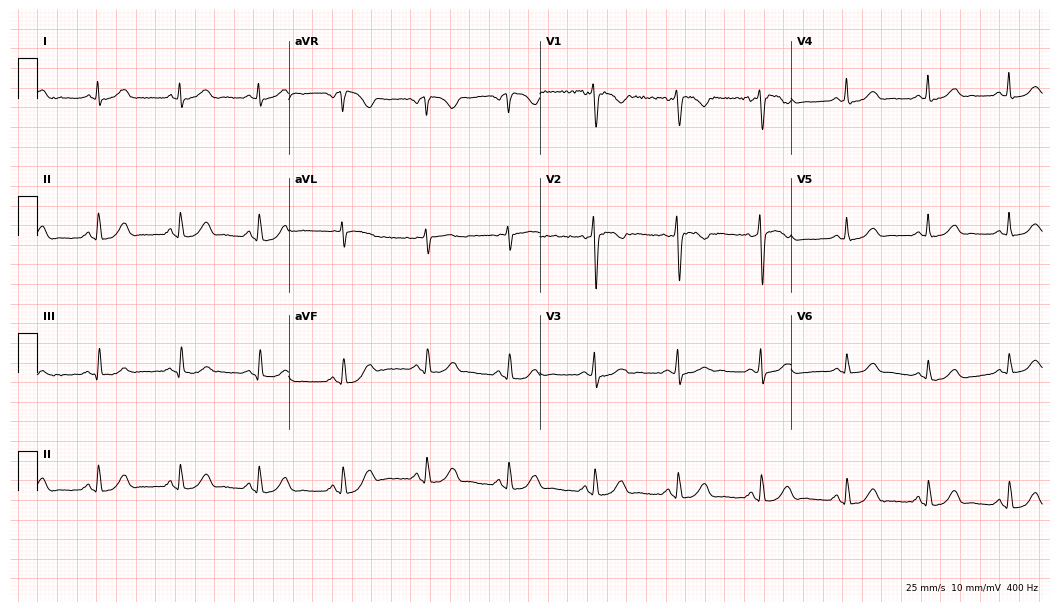
Electrocardiogram (10.2-second recording at 400 Hz), a female, 37 years old. Of the six screened findings (first-degree AV block, right bundle branch block (RBBB), left bundle branch block (LBBB), sinus bradycardia, atrial fibrillation (AF), sinus tachycardia), none is recorded. Other findings, if any, are not listed.